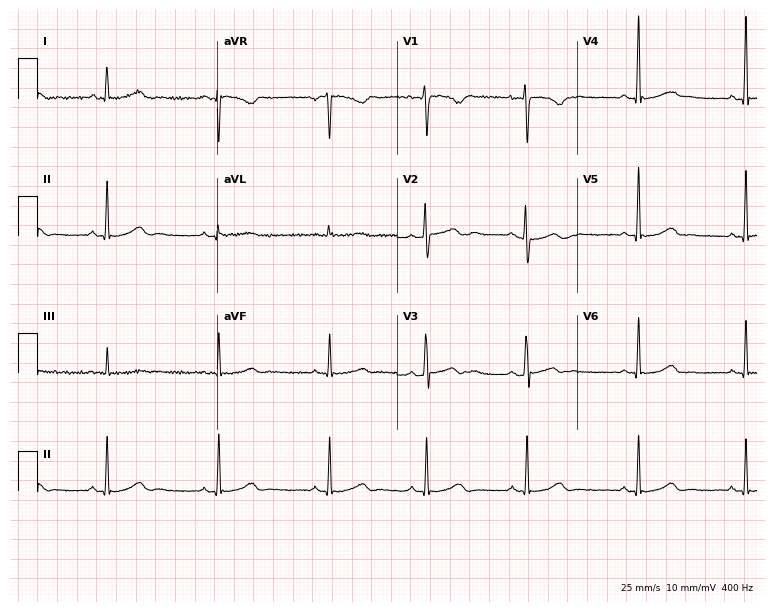
Resting 12-lead electrocardiogram. Patient: a 25-year-old female. Read as a normal ECG.